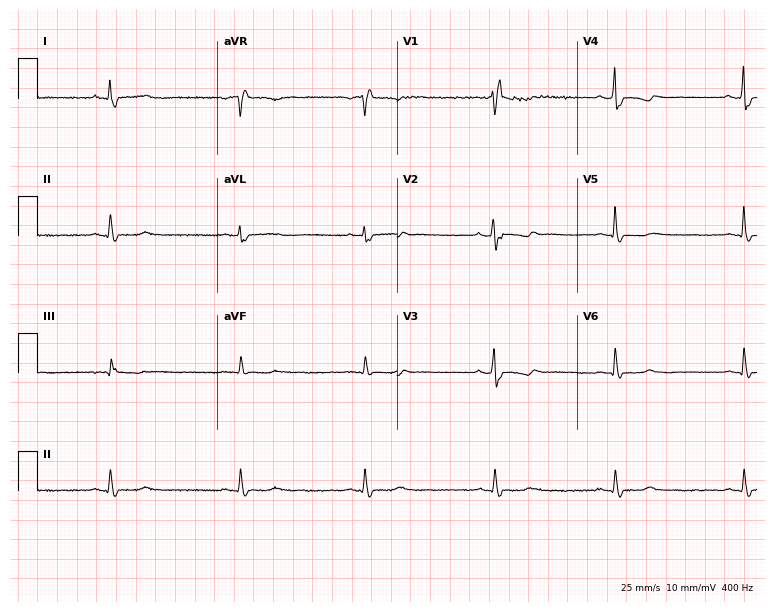
Resting 12-lead electrocardiogram. Patient: a 37-year-old female. The tracing shows right bundle branch block, sinus bradycardia (a sinus rate of 50 beats per minute or less).